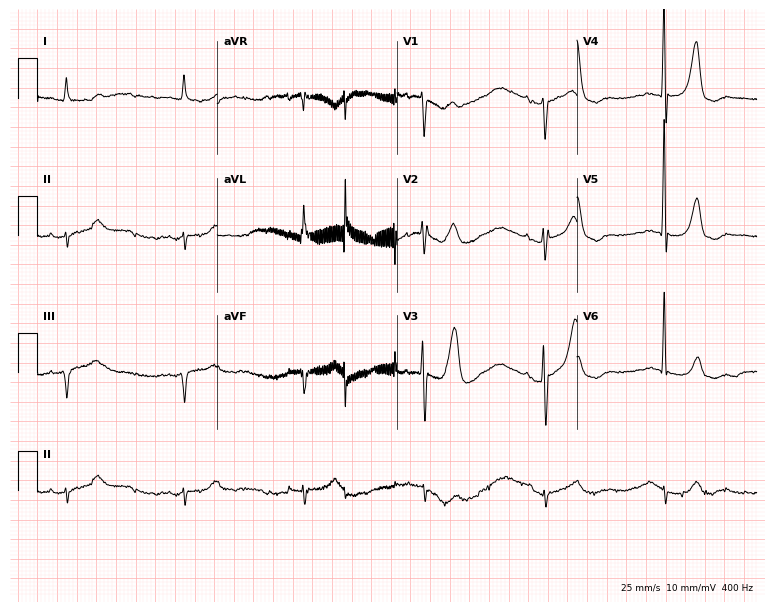
Electrocardiogram (7.3-second recording at 400 Hz), a male patient, 85 years old. Of the six screened findings (first-degree AV block, right bundle branch block, left bundle branch block, sinus bradycardia, atrial fibrillation, sinus tachycardia), none is recorded. Findings outside these six are not listed.